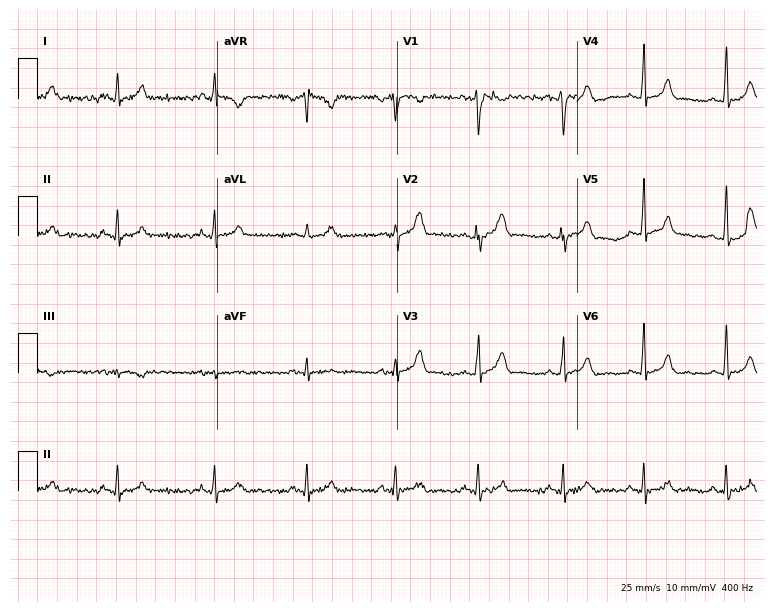
12-lead ECG from a 32-year-old female (7.3-second recording at 400 Hz). No first-degree AV block, right bundle branch block (RBBB), left bundle branch block (LBBB), sinus bradycardia, atrial fibrillation (AF) or sinus tachycardia recorded for this tracing.